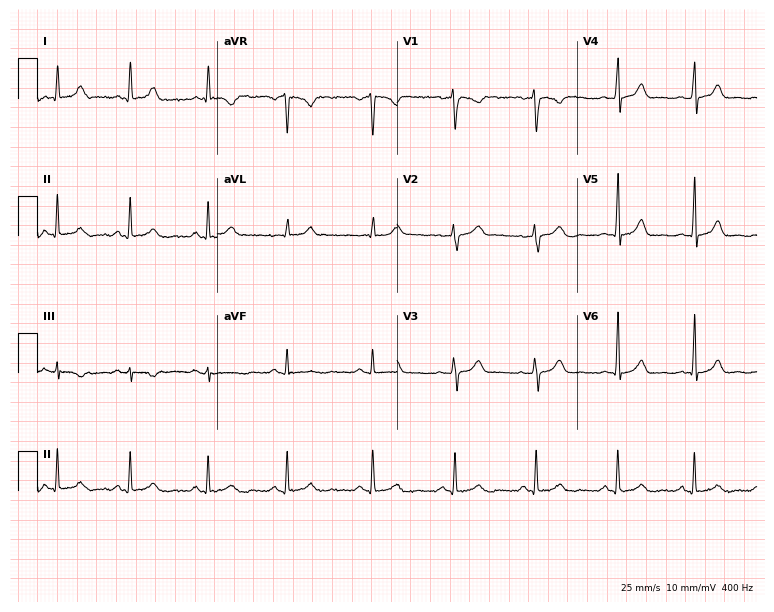
12-lead ECG from a 32-year-old woman (7.3-second recording at 400 Hz). Recorded interpretation: within normal limits.